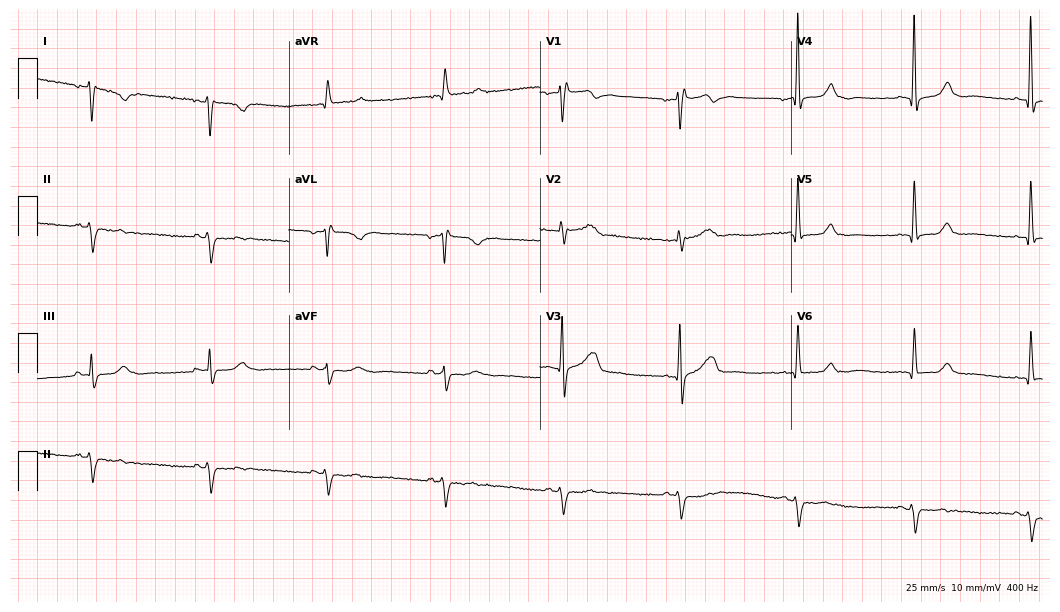
ECG (10.2-second recording at 400 Hz) — a male, 64 years old. Screened for six findings — first-degree AV block, right bundle branch block, left bundle branch block, sinus bradycardia, atrial fibrillation, sinus tachycardia — none is recorded.